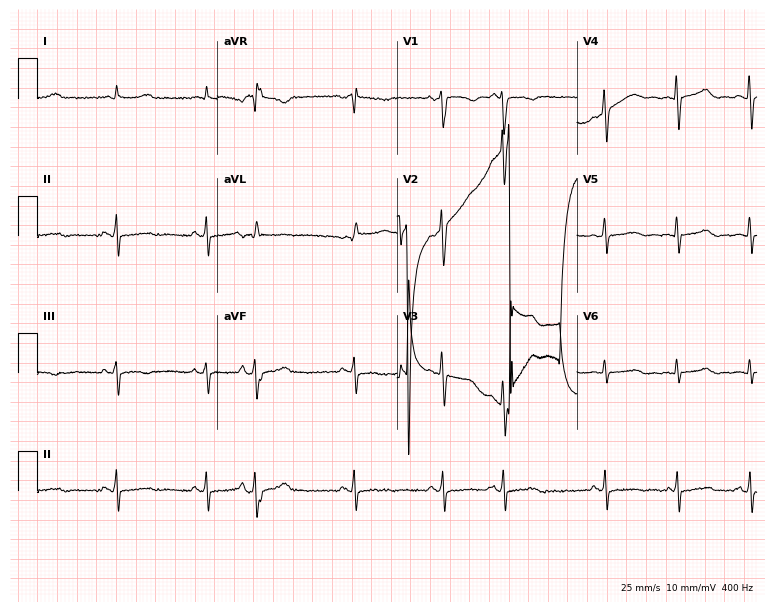
Resting 12-lead electrocardiogram (7.3-second recording at 400 Hz). Patient: a 50-year-old male. None of these six findings is recorded: first-degree AV block, right bundle branch block (RBBB), left bundle branch block (LBBB), sinus bradycardia, atrial fibrillation (AF), sinus tachycardia.